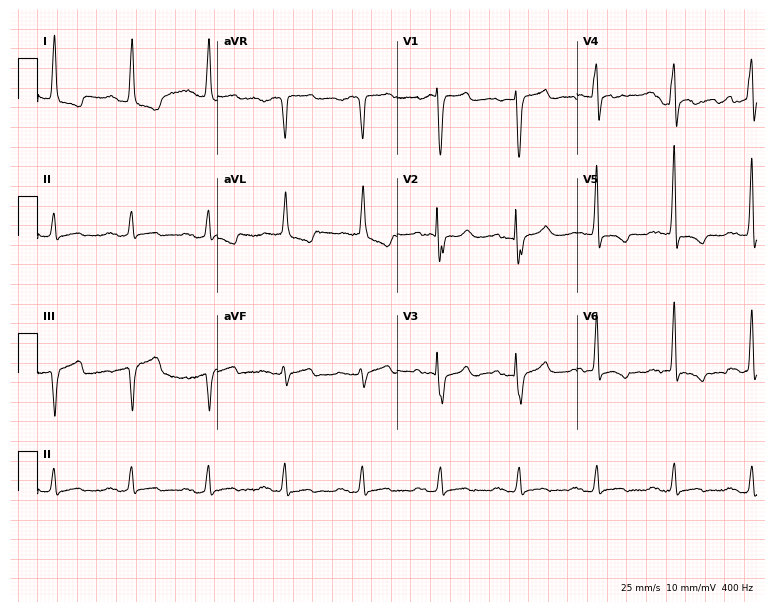
Electrocardiogram, an 82-year-old female. Interpretation includes first-degree AV block.